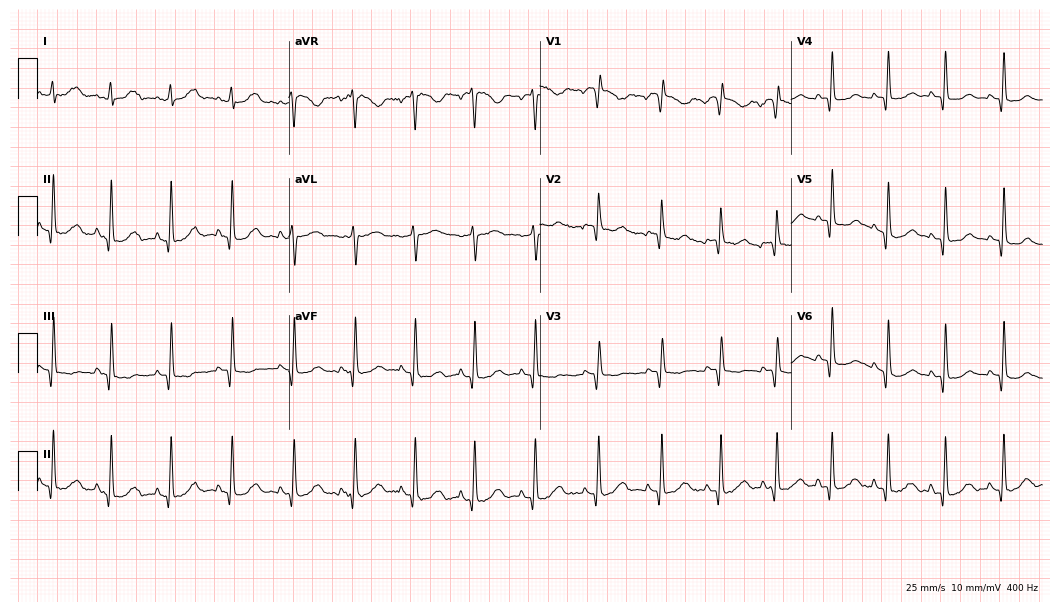
ECG (10.2-second recording at 400 Hz) — a female, 34 years old. Labelled as a normal ECG.